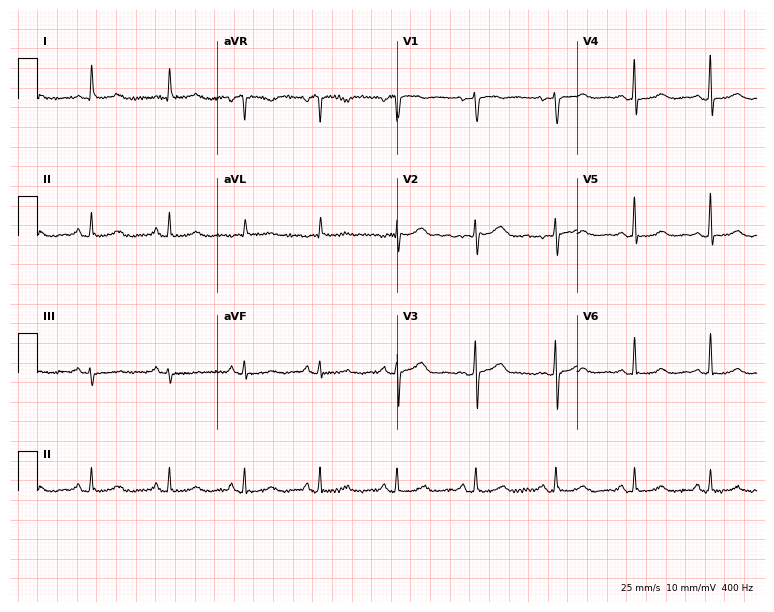
Standard 12-lead ECG recorded from a 47-year-old female patient. Read as a normal ECG.